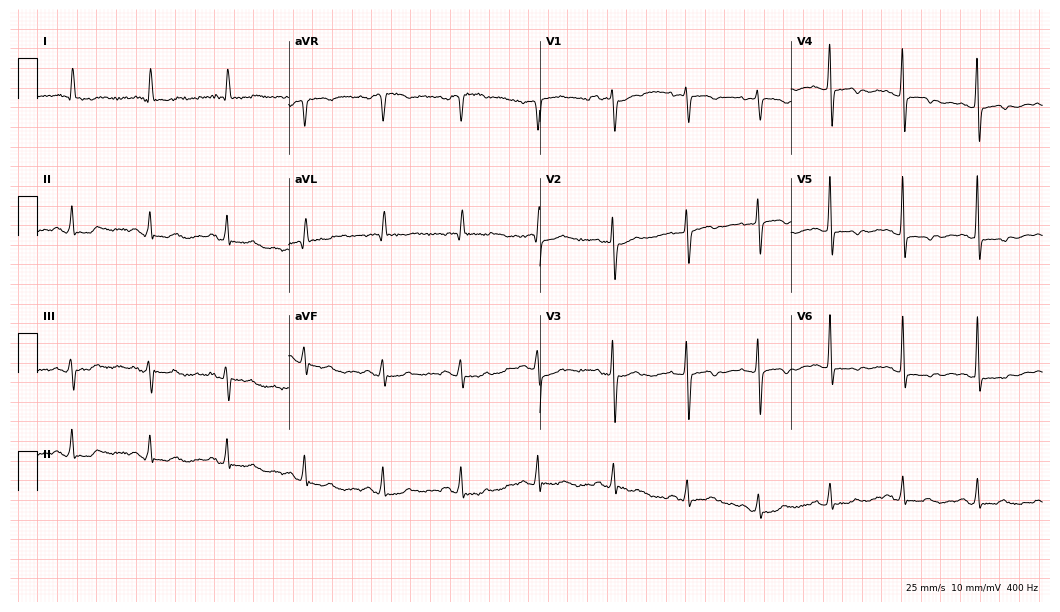
Resting 12-lead electrocardiogram. Patient: an 83-year-old female. None of these six findings is recorded: first-degree AV block, right bundle branch block, left bundle branch block, sinus bradycardia, atrial fibrillation, sinus tachycardia.